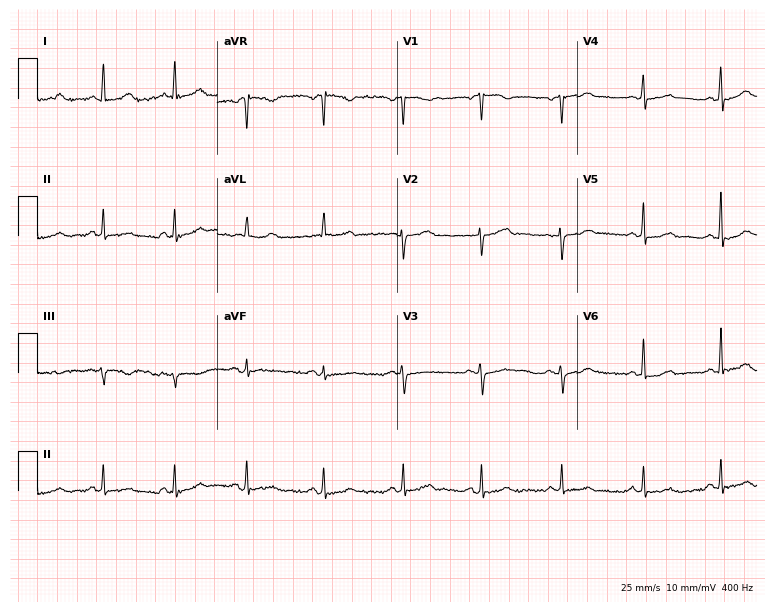
12-lead ECG from a 43-year-old female patient (7.3-second recording at 400 Hz). No first-degree AV block, right bundle branch block (RBBB), left bundle branch block (LBBB), sinus bradycardia, atrial fibrillation (AF) or sinus tachycardia recorded for this tracing.